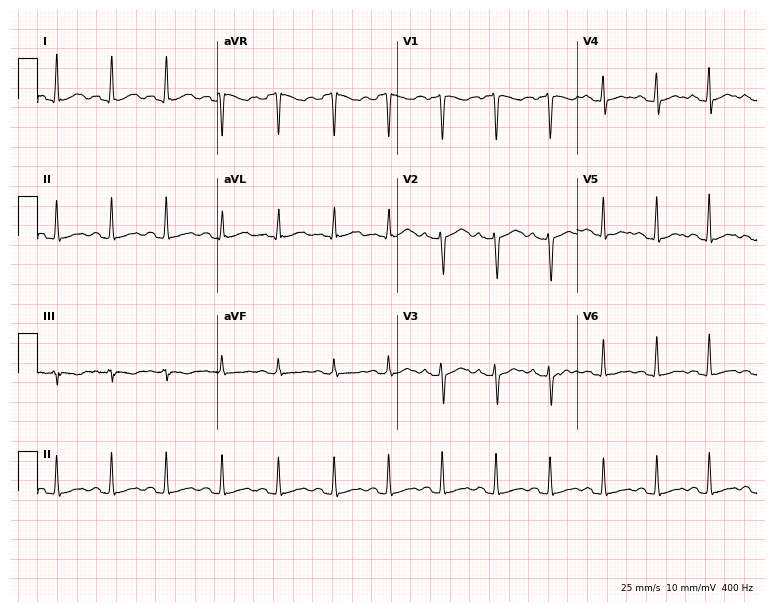
Electrocardiogram (7.3-second recording at 400 Hz), a woman, 33 years old. Interpretation includes sinus tachycardia (a sinus rate of 100 beats per minute or more).